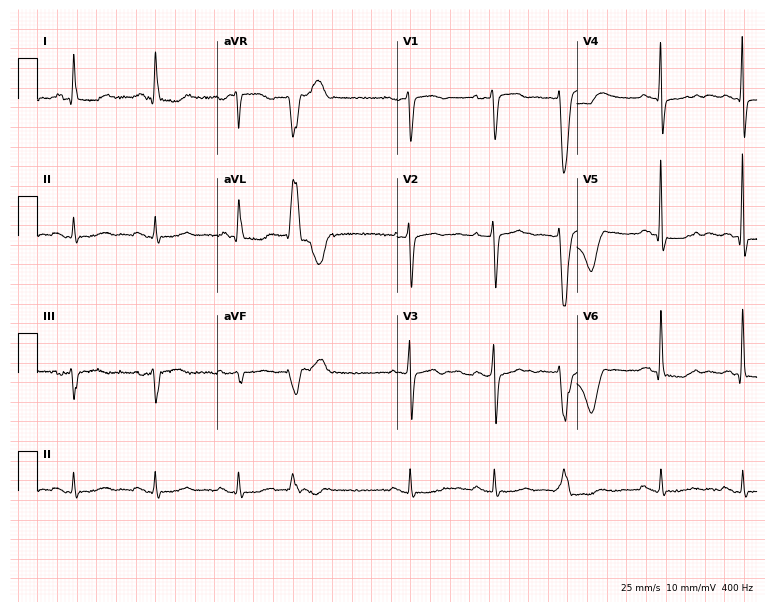
Electrocardiogram, a female, 66 years old. Of the six screened findings (first-degree AV block, right bundle branch block (RBBB), left bundle branch block (LBBB), sinus bradycardia, atrial fibrillation (AF), sinus tachycardia), none is recorded.